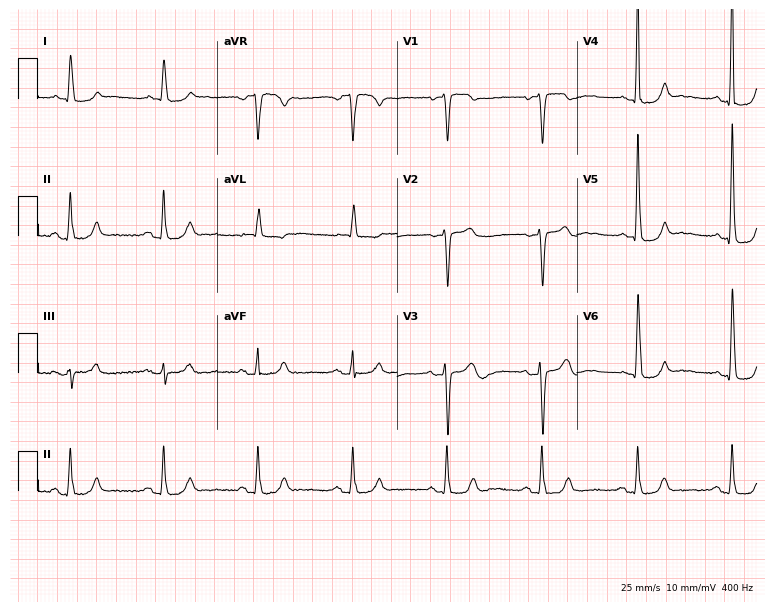
Standard 12-lead ECG recorded from a 70-year-old female patient (7.3-second recording at 400 Hz). None of these six findings is recorded: first-degree AV block, right bundle branch block, left bundle branch block, sinus bradycardia, atrial fibrillation, sinus tachycardia. Findings outside these six are not listed.